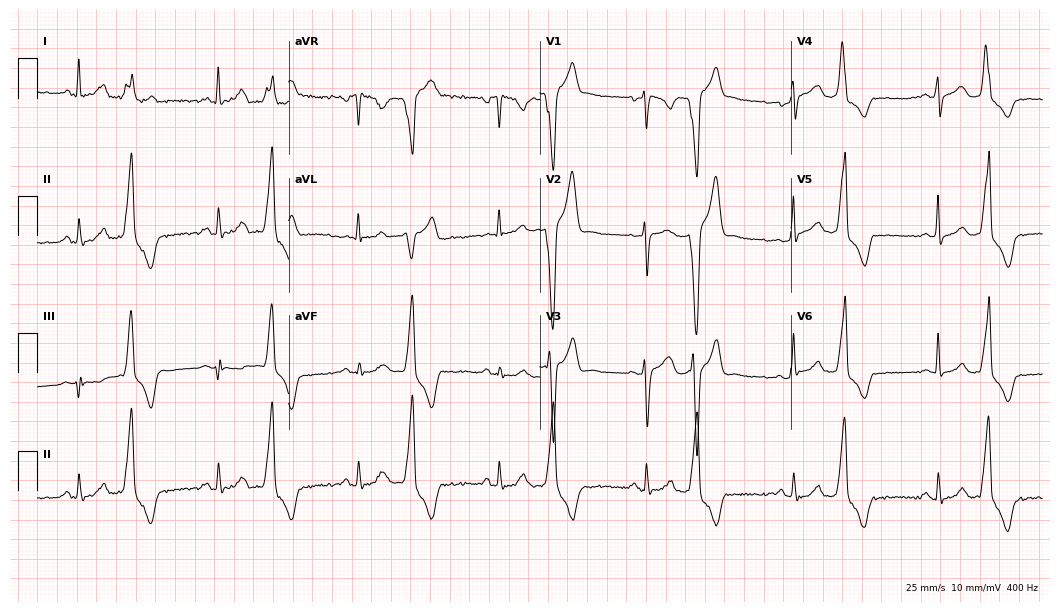
12-lead ECG from a 42-year-old male patient. No first-degree AV block, right bundle branch block, left bundle branch block, sinus bradycardia, atrial fibrillation or sinus tachycardia recorded for this tracing.